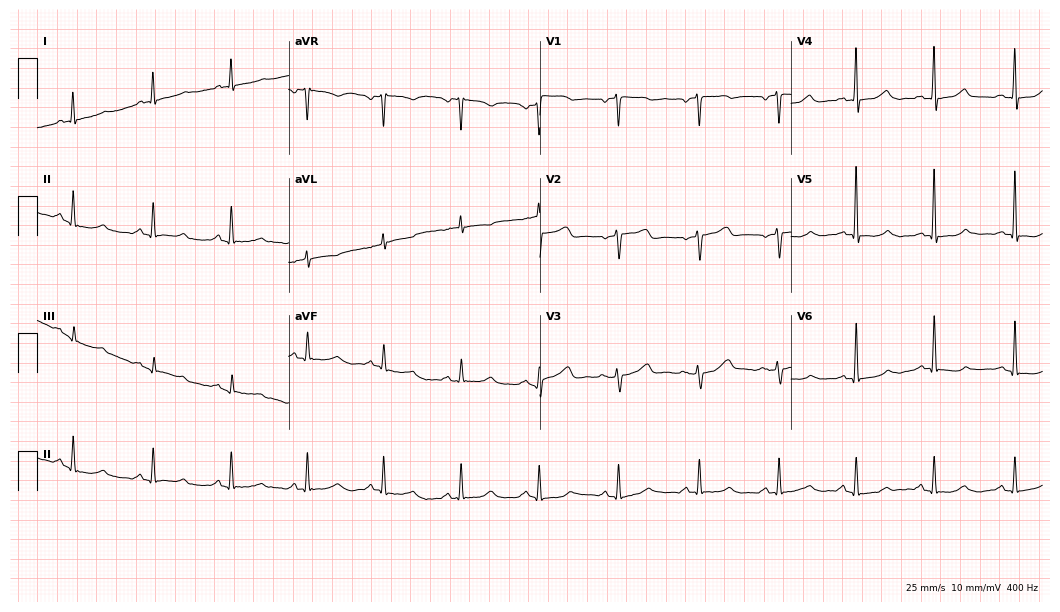
ECG — a female, 62 years old. Labelled as a normal ECG.